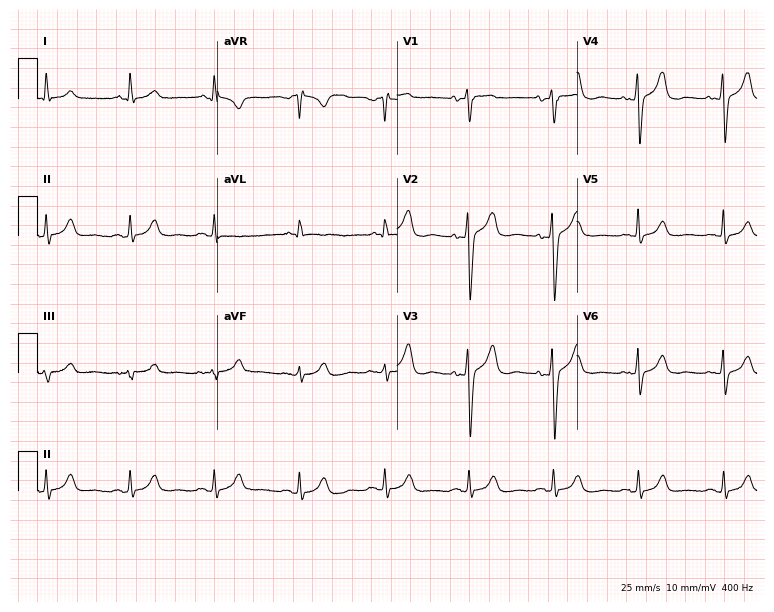
Resting 12-lead electrocardiogram (7.3-second recording at 400 Hz). Patient: a 54-year-old female. Read as a normal ECG.